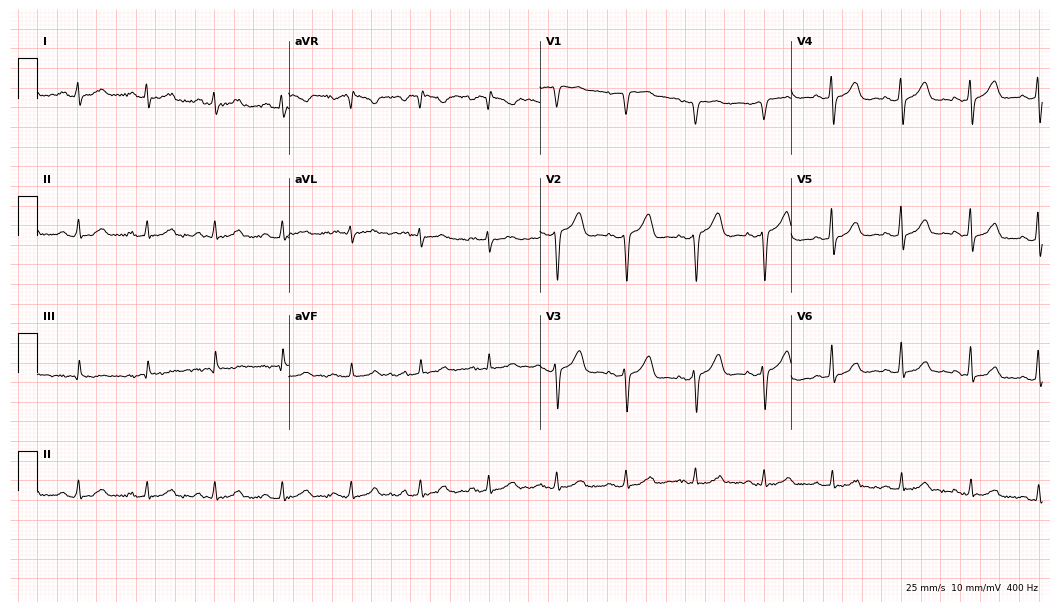
Resting 12-lead electrocardiogram. Patient: a 55-year-old woman. Read as a normal ECG.